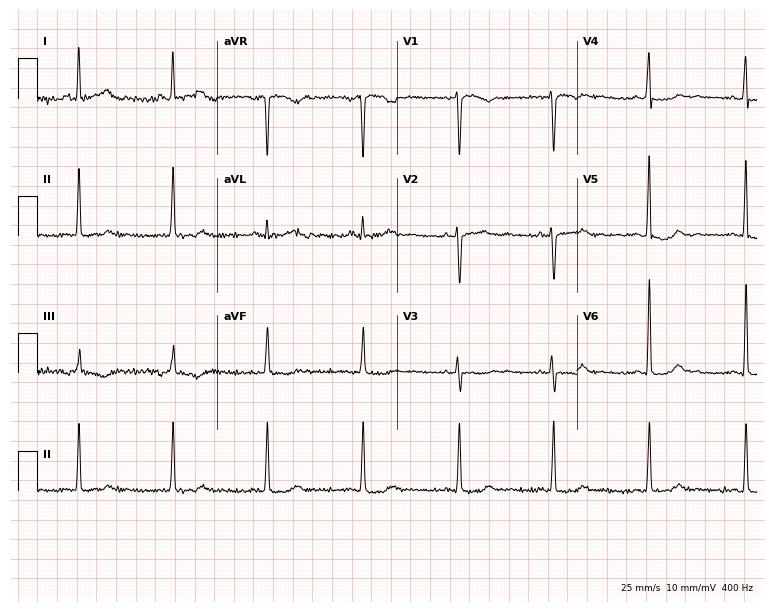
12-lead ECG from a woman, 48 years old (7.3-second recording at 400 Hz). No first-degree AV block, right bundle branch block (RBBB), left bundle branch block (LBBB), sinus bradycardia, atrial fibrillation (AF) or sinus tachycardia recorded for this tracing.